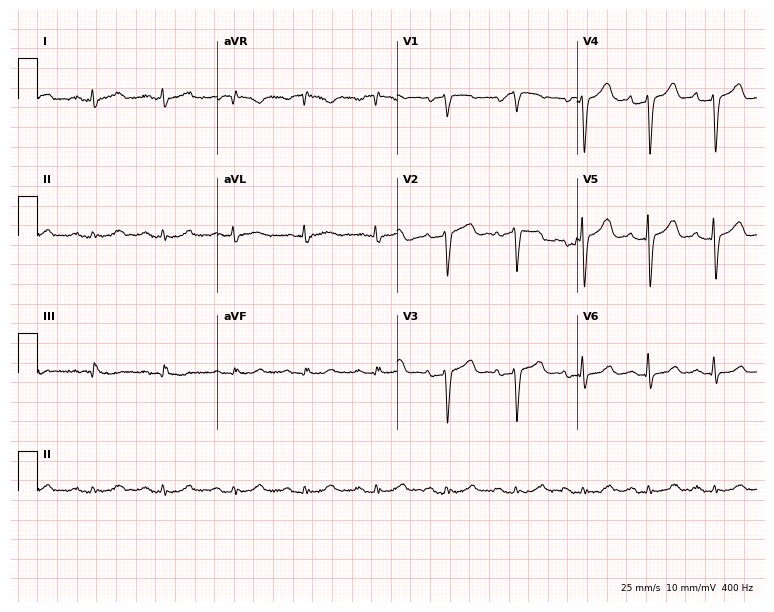
Standard 12-lead ECG recorded from an 85-year-old female. None of these six findings is recorded: first-degree AV block, right bundle branch block, left bundle branch block, sinus bradycardia, atrial fibrillation, sinus tachycardia. Only these six findings were labelled.